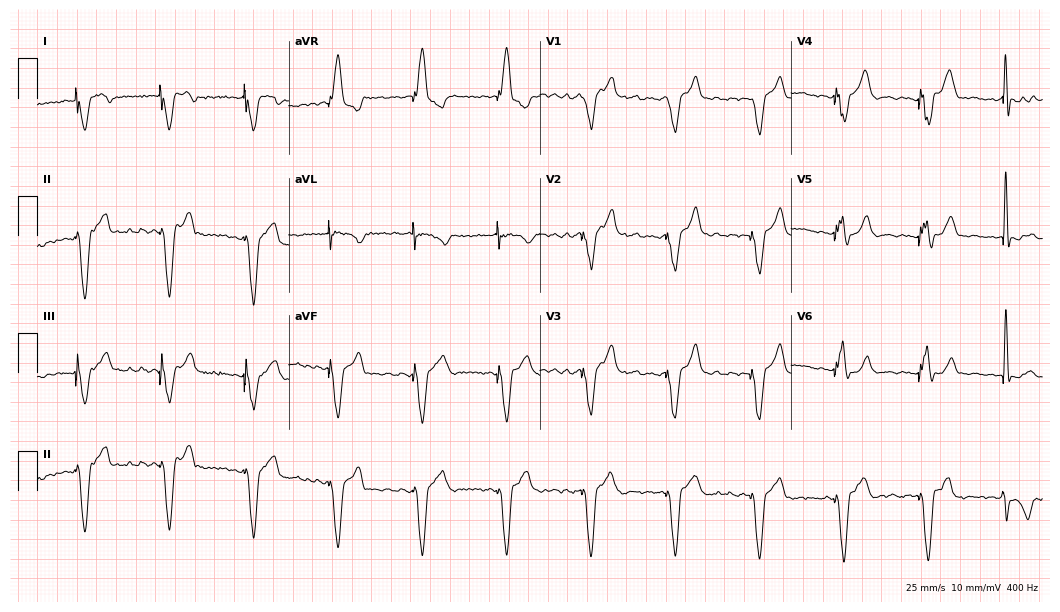
Standard 12-lead ECG recorded from a male patient, 67 years old (10.2-second recording at 400 Hz). None of these six findings is recorded: first-degree AV block, right bundle branch block, left bundle branch block, sinus bradycardia, atrial fibrillation, sinus tachycardia.